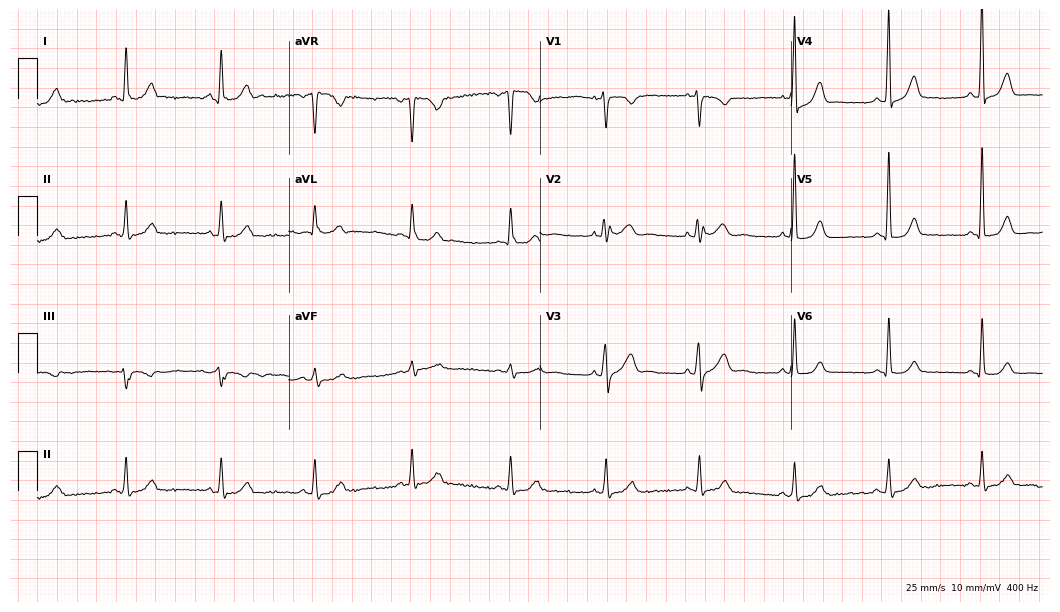
ECG (10.2-second recording at 400 Hz) — a male, 58 years old. Screened for six findings — first-degree AV block, right bundle branch block (RBBB), left bundle branch block (LBBB), sinus bradycardia, atrial fibrillation (AF), sinus tachycardia — none is recorded.